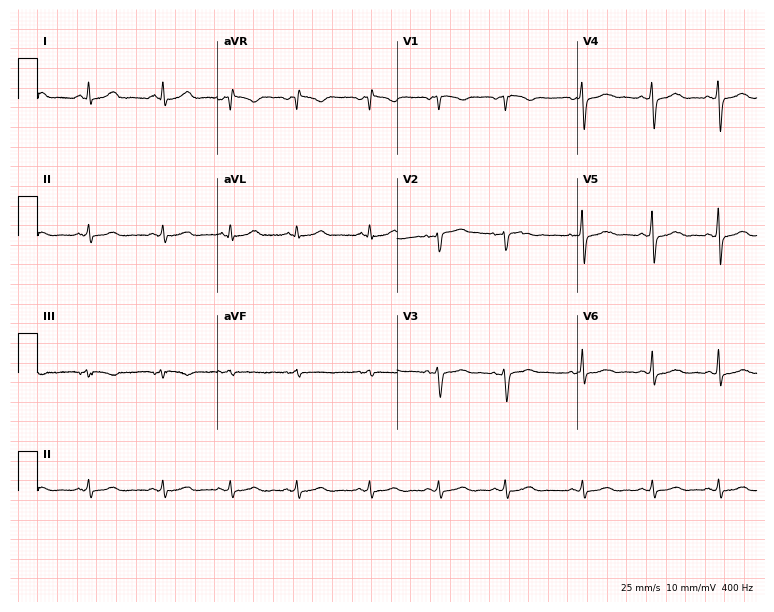
12-lead ECG (7.3-second recording at 400 Hz) from a 48-year-old female patient. Labelled as a normal ECG.